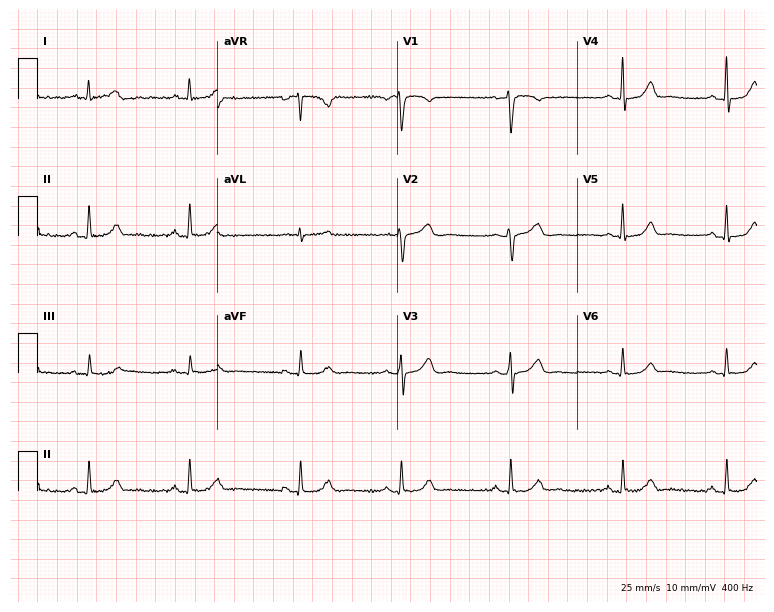
Resting 12-lead electrocardiogram. Patient: a female, 44 years old. Read as a normal ECG.